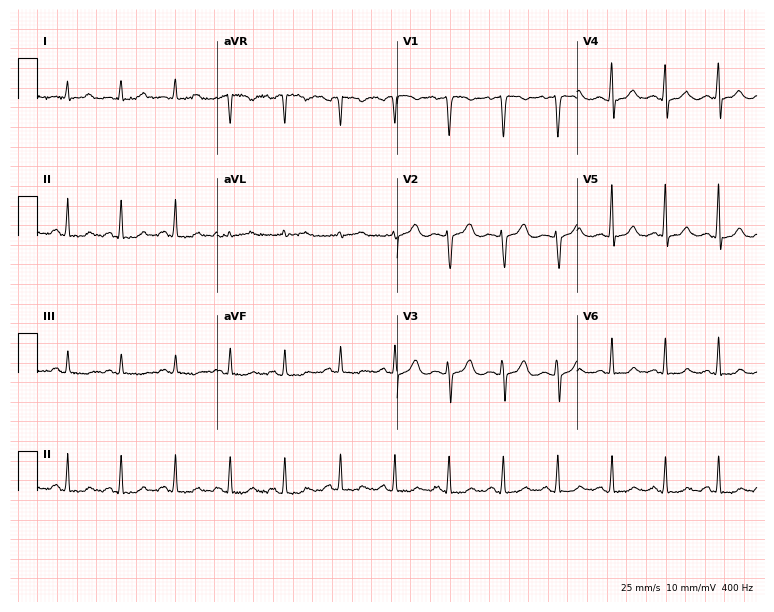
12-lead ECG from a 34-year-old female patient. Findings include sinus tachycardia (a sinus rate of 100 beats per minute or more).